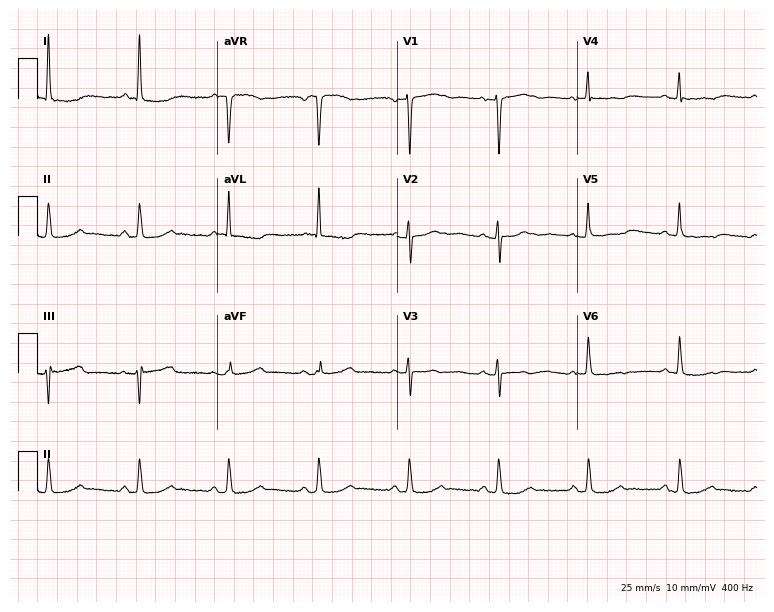
ECG (7.3-second recording at 400 Hz) — a woman, 69 years old. Labelled as a normal ECG.